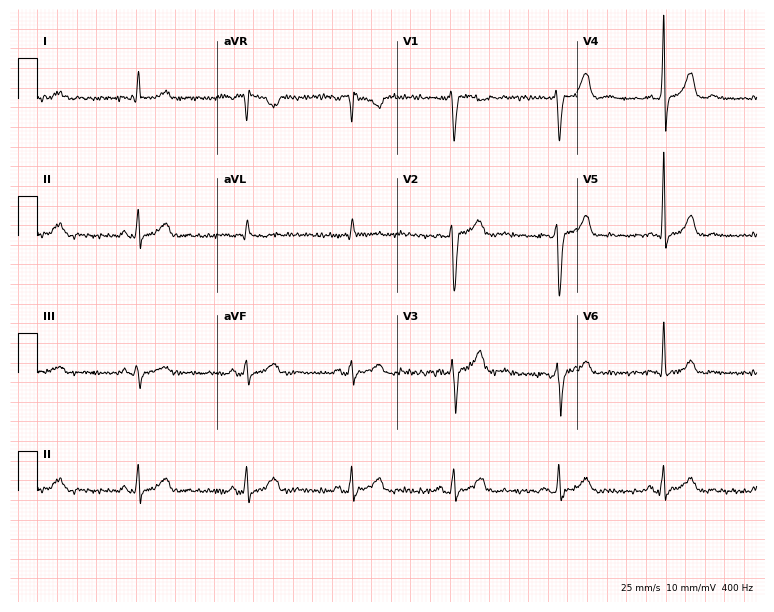
12-lead ECG from a 48-year-old male. Labelled as a normal ECG.